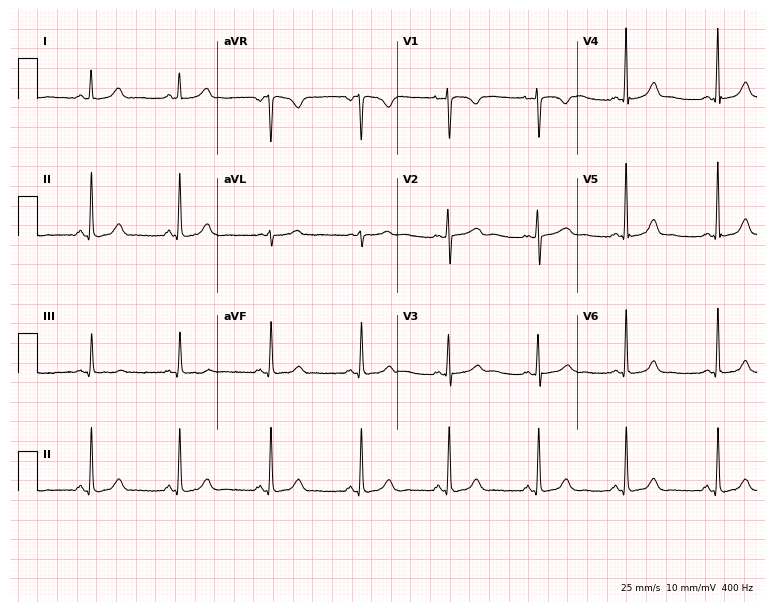
ECG — a female, 28 years old. Labelled as a normal ECG.